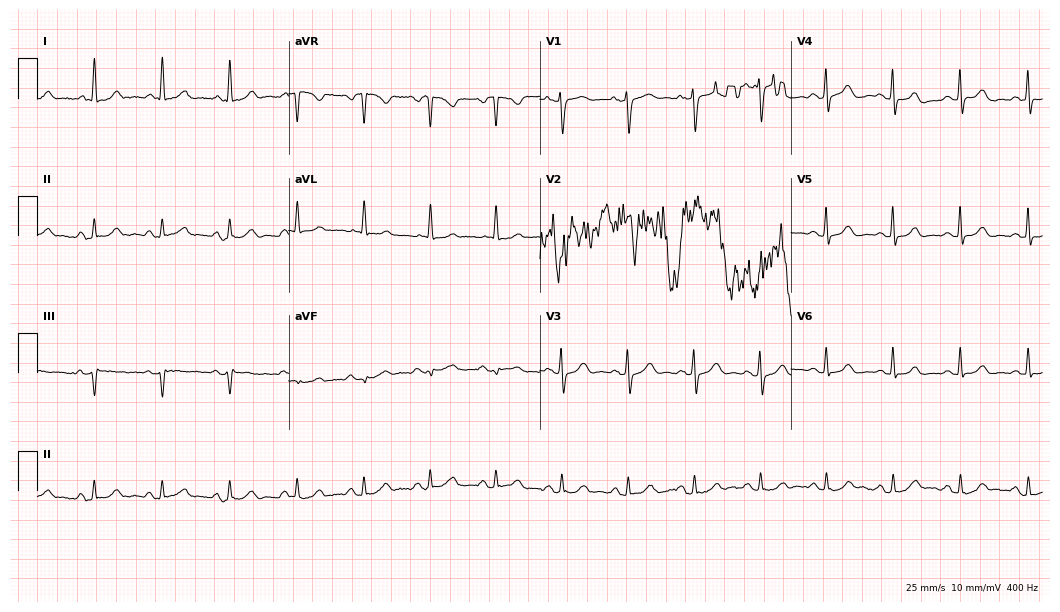
12-lead ECG from a female, 64 years old. Recorded interpretation: within normal limits.